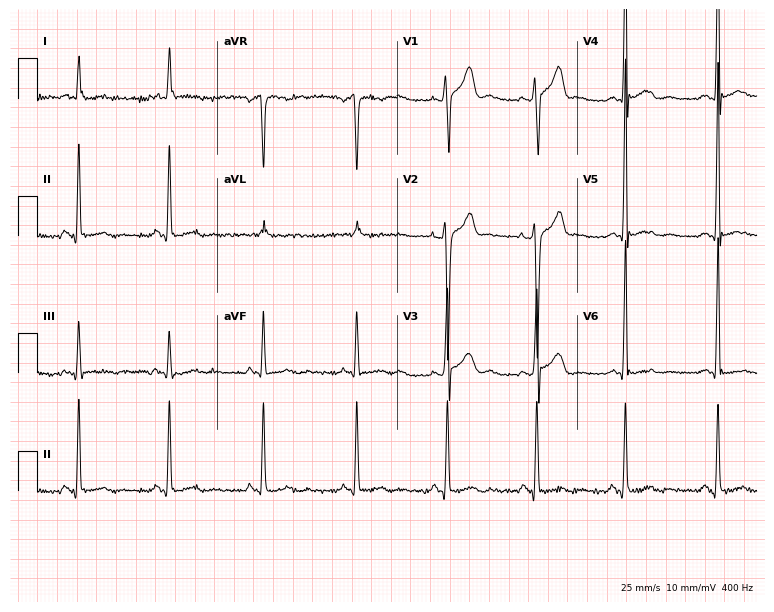
12-lead ECG from a 73-year-old female. No first-degree AV block, right bundle branch block, left bundle branch block, sinus bradycardia, atrial fibrillation or sinus tachycardia recorded for this tracing.